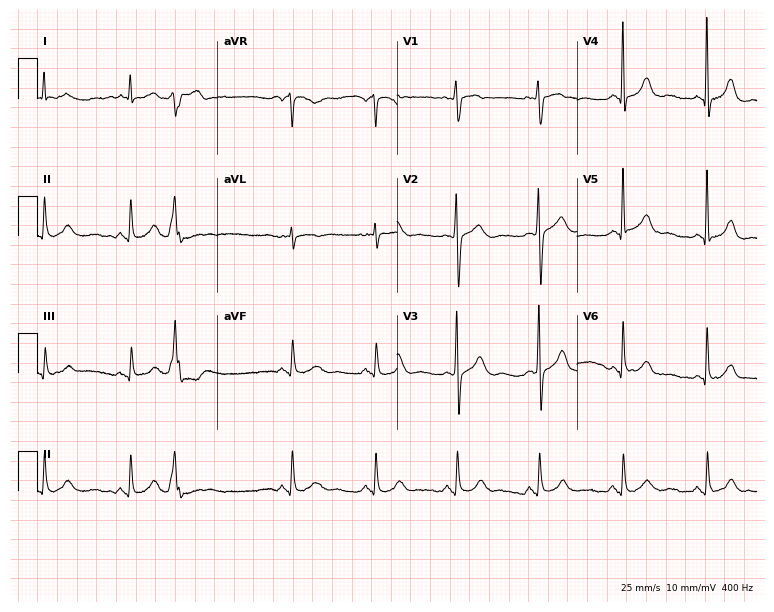
Resting 12-lead electrocardiogram (7.3-second recording at 400 Hz). Patient: a 74-year-old female. None of these six findings is recorded: first-degree AV block, right bundle branch block, left bundle branch block, sinus bradycardia, atrial fibrillation, sinus tachycardia.